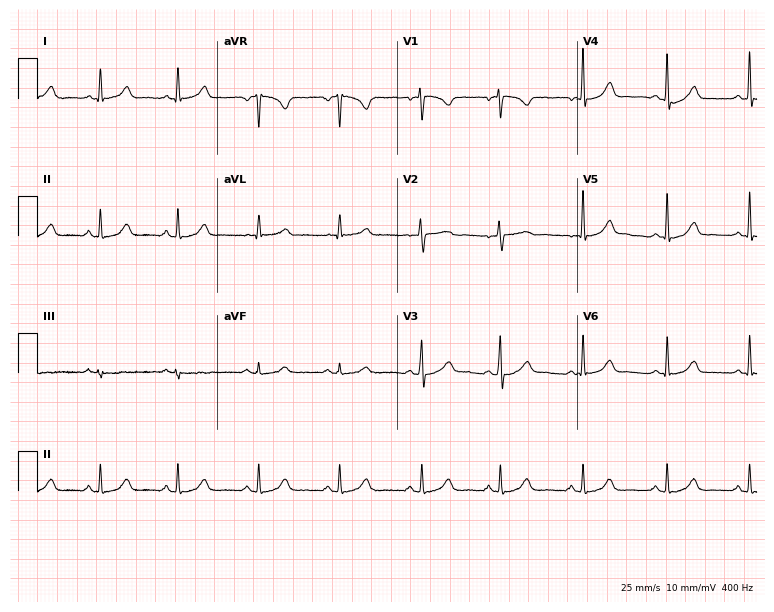
Standard 12-lead ECG recorded from a 37-year-old female patient. Read as a normal ECG.